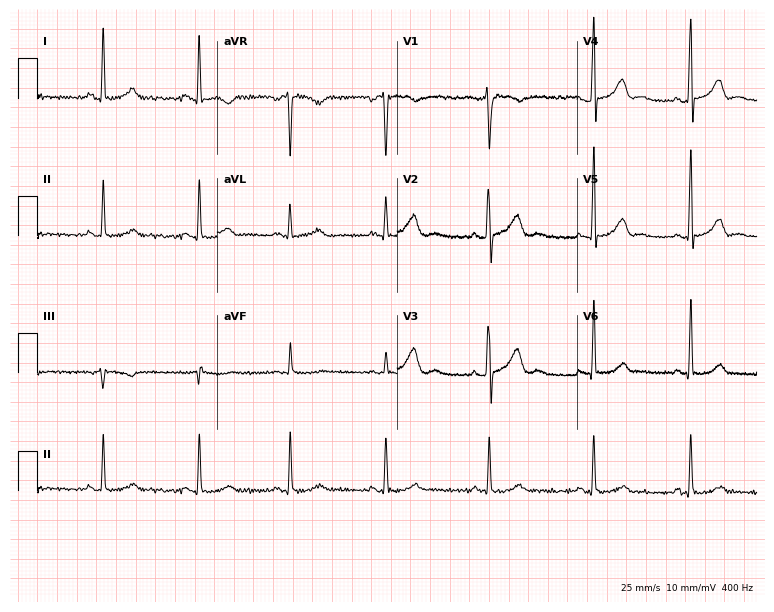
Standard 12-lead ECG recorded from a 34-year-old female patient. None of these six findings is recorded: first-degree AV block, right bundle branch block (RBBB), left bundle branch block (LBBB), sinus bradycardia, atrial fibrillation (AF), sinus tachycardia. Only these six findings were labelled.